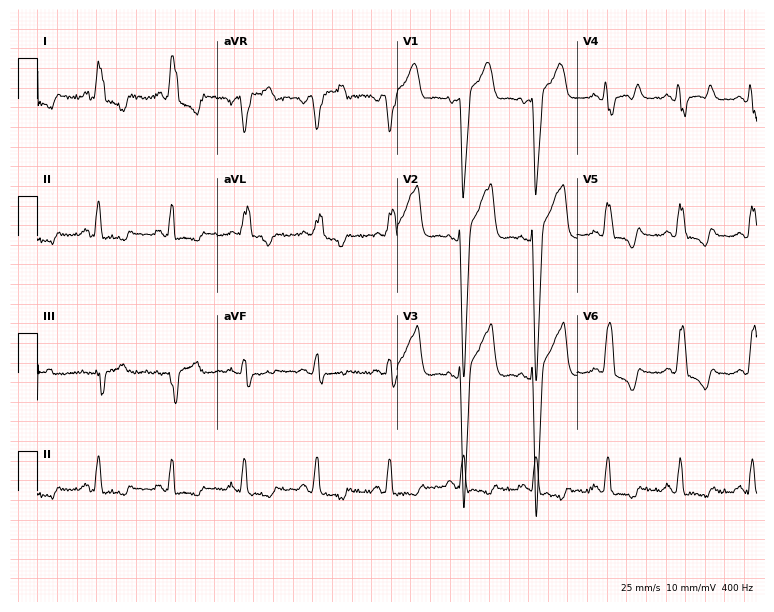
Standard 12-lead ECG recorded from a male, 53 years old (7.3-second recording at 400 Hz). The tracing shows left bundle branch block (LBBB).